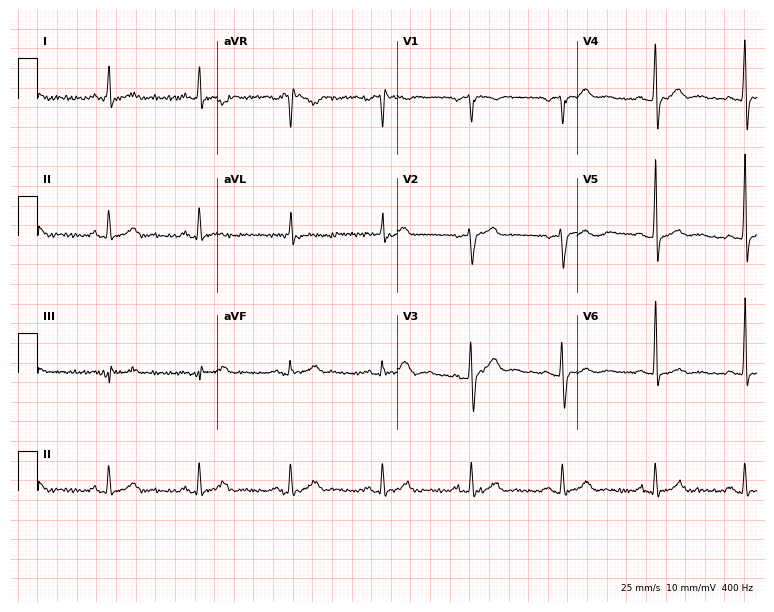
ECG — a male, 49 years old. Labelled as a normal ECG.